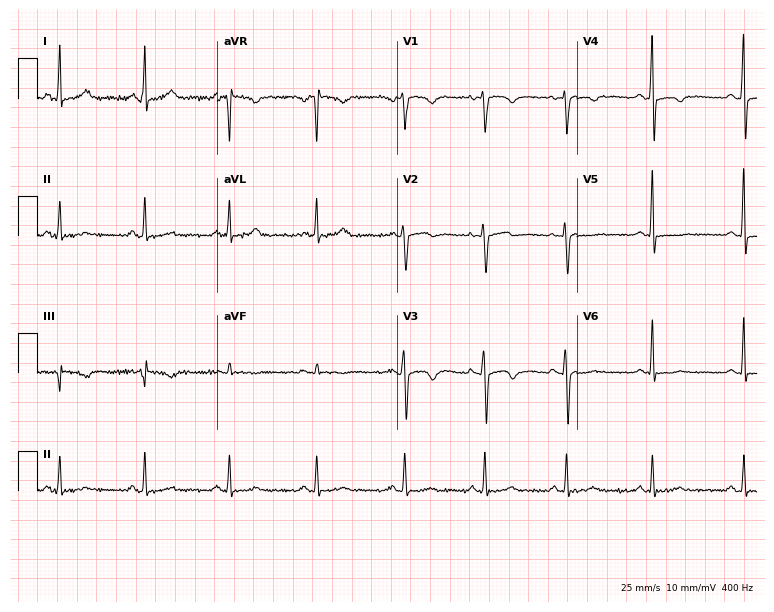
Electrocardiogram, a female, 37 years old. Of the six screened findings (first-degree AV block, right bundle branch block, left bundle branch block, sinus bradycardia, atrial fibrillation, sinus tachycardia), none is recorded.